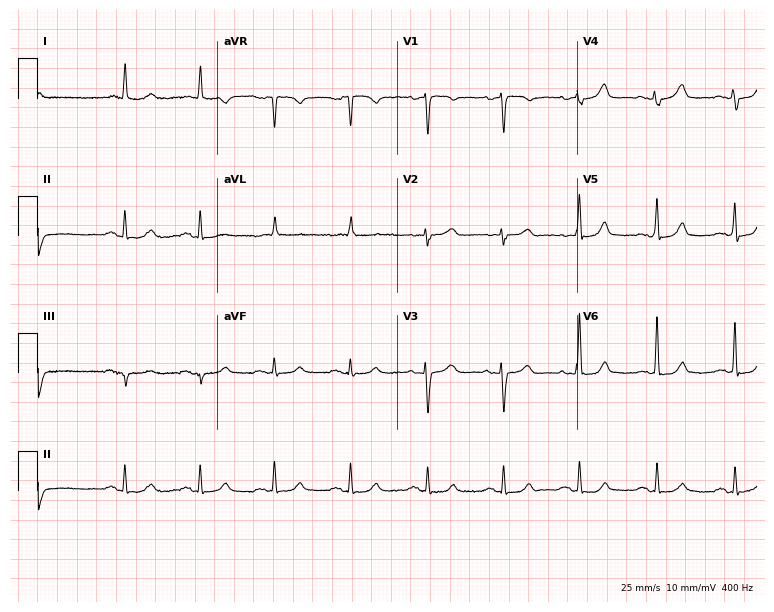
Standard 12-lead ECG recorded from a woman, 79 years old. Read as a normal ECG.